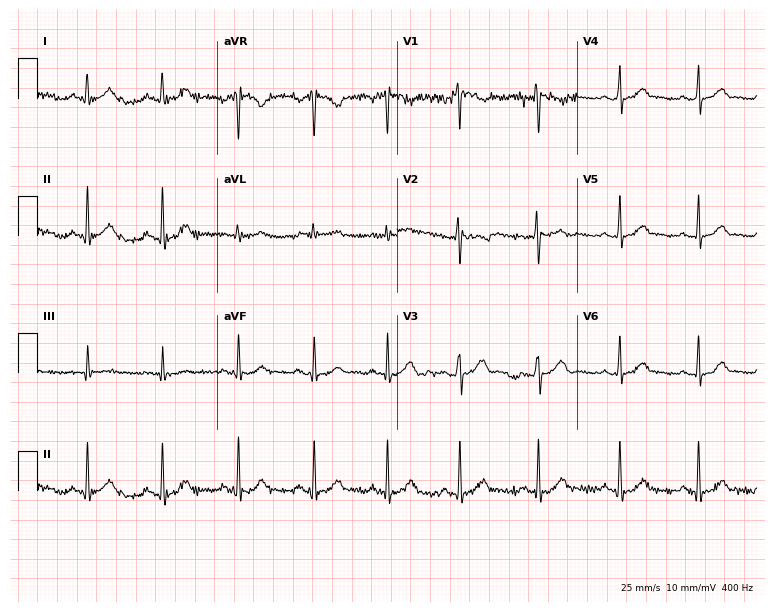
Electrocardiogram, a female, 30 years old. Of the six screened findings (first-degree AV block, right bundle branch block (RBBB), left bundle branch block (LBBB), sinus bradycardia, atrial fibrillation (AF), sinus tachycardia), none is recorded.